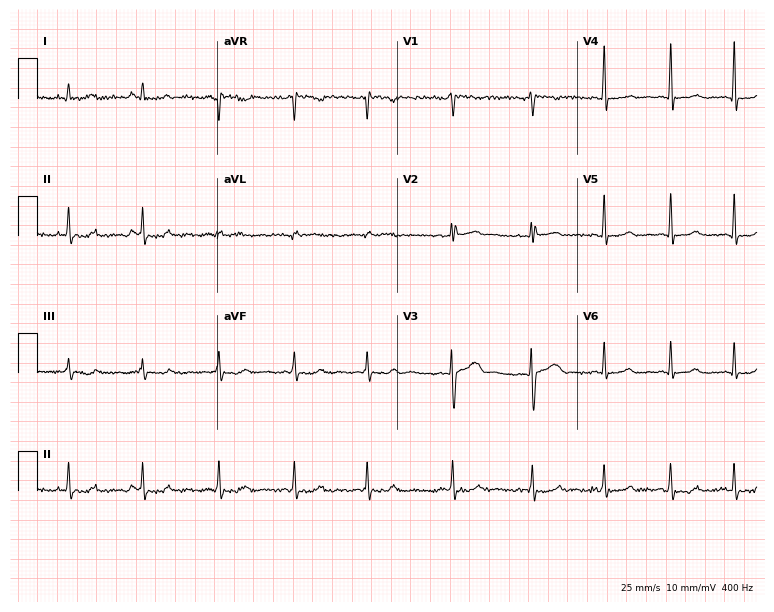
12-lead ECG from a 33-year-old woman. No first-degree AV block, right bundle branch block (RBBB), left bundle branch block (LBBB), sinus bradycardia, atrial fibrillation (AF) or sinus tachycardia recorded for this tracing. Other findings, if any, are not listed.